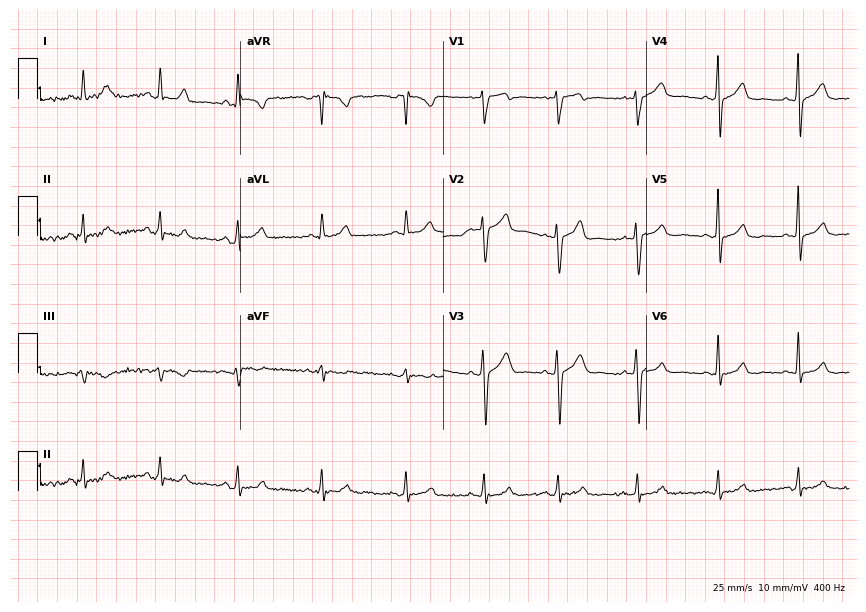
Resting 12-lead electrocardiogram (8.3-second recording at 400 Hz). Patient: a male, 45 years old. Read as a normal ECG.